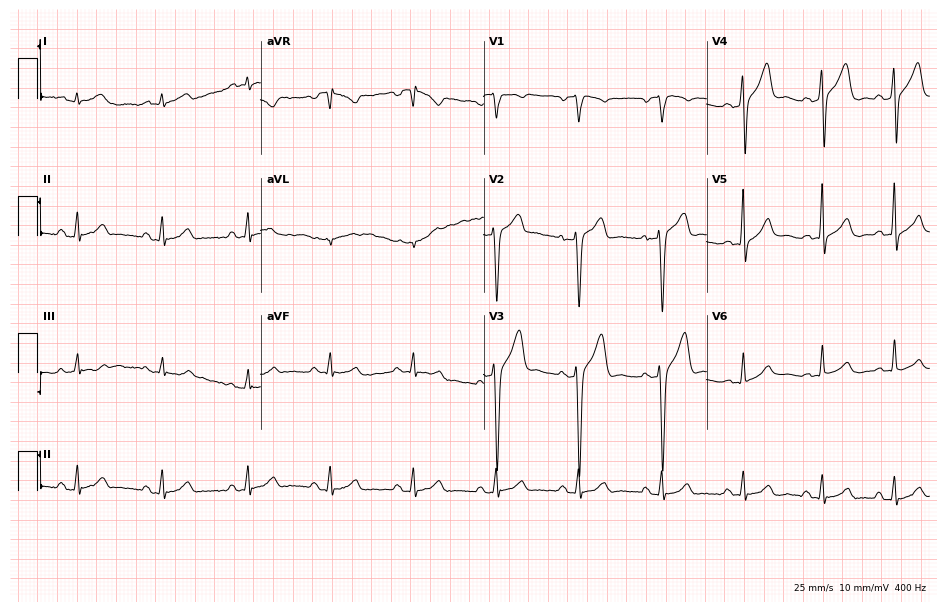
Resting 12-lead electrocardiogram (9.1-second recording at 400 Hz). Patient: a male, 41 years old. None of these six findings is recorded: first-degree AV block, right bundle branch block (RBBB), left bundle branch block (LBBB), sinus bradycardia, atrial fibrillation (AF), sinus tachycardia. Only these six findings were labelled.